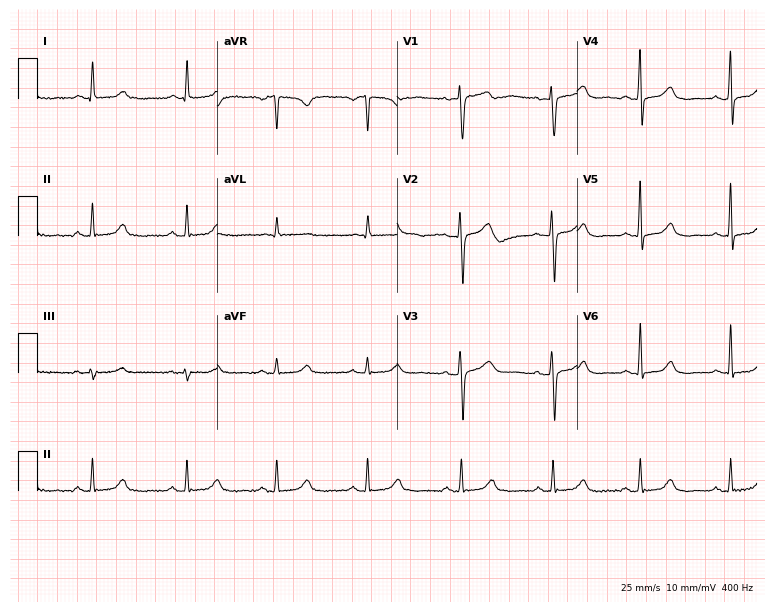
12-lead ECG from a 58-year-old female. Recorded interpretation: within normal limits.